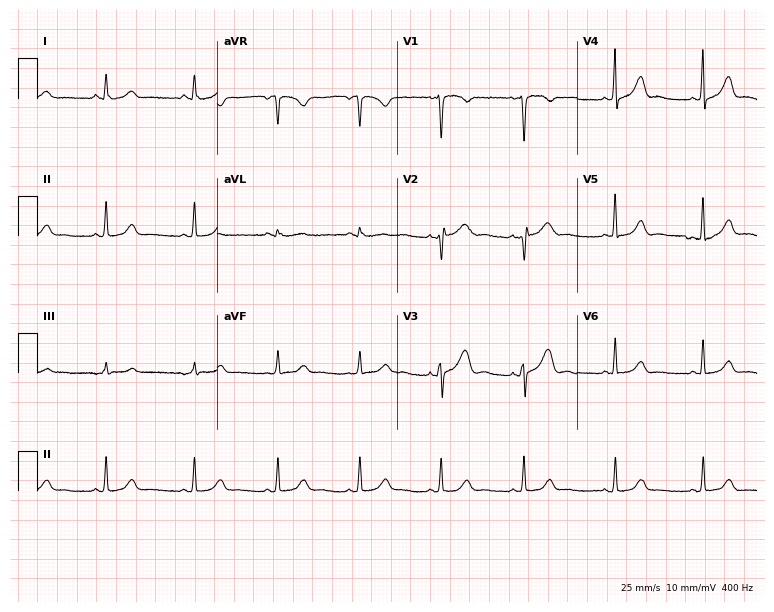
Electrocardiogram, a female, 23 years old. Overall reading on record: normal ECG.